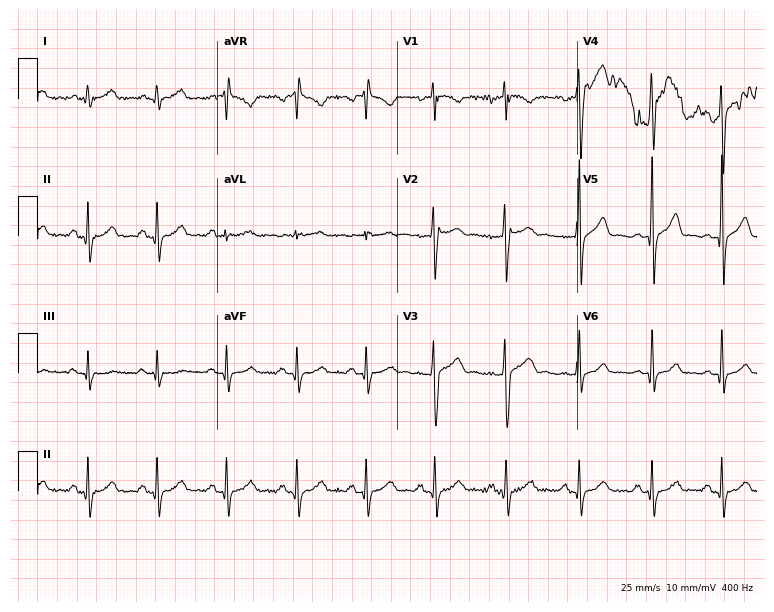
Standard 12-lead ECG recorded from a 34-year-old man. Read as a normal ECG.